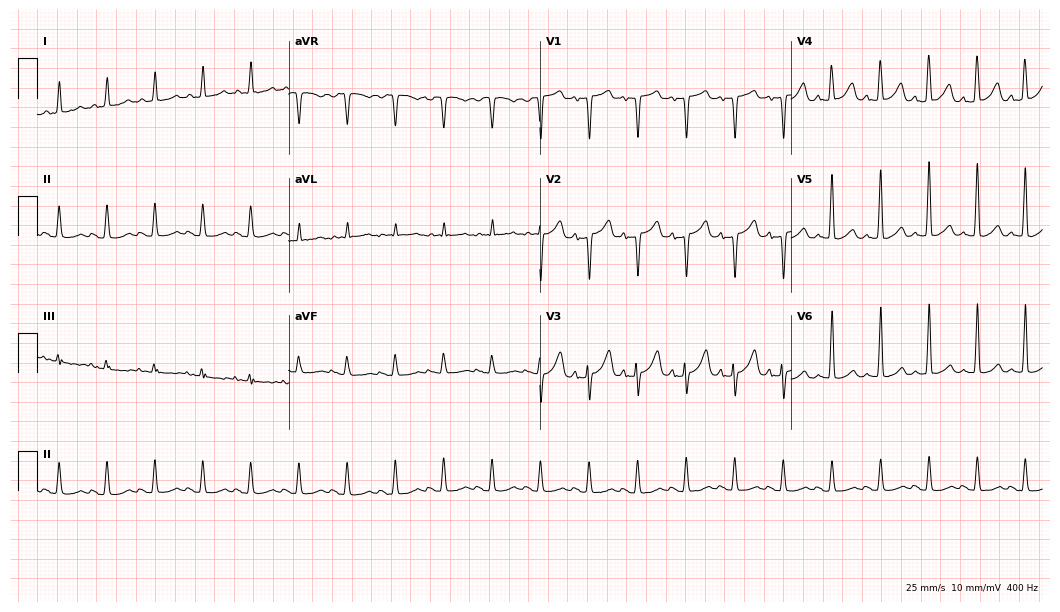
12-lead ECG from a man, 67 years old. Screened for six findings — first-degree AV block, right bundle branch block, left bundle branch block, sinus bradycardia, atrial fibrillation, sinus tachycardia — none is recorded. Only these six findings were labelled.